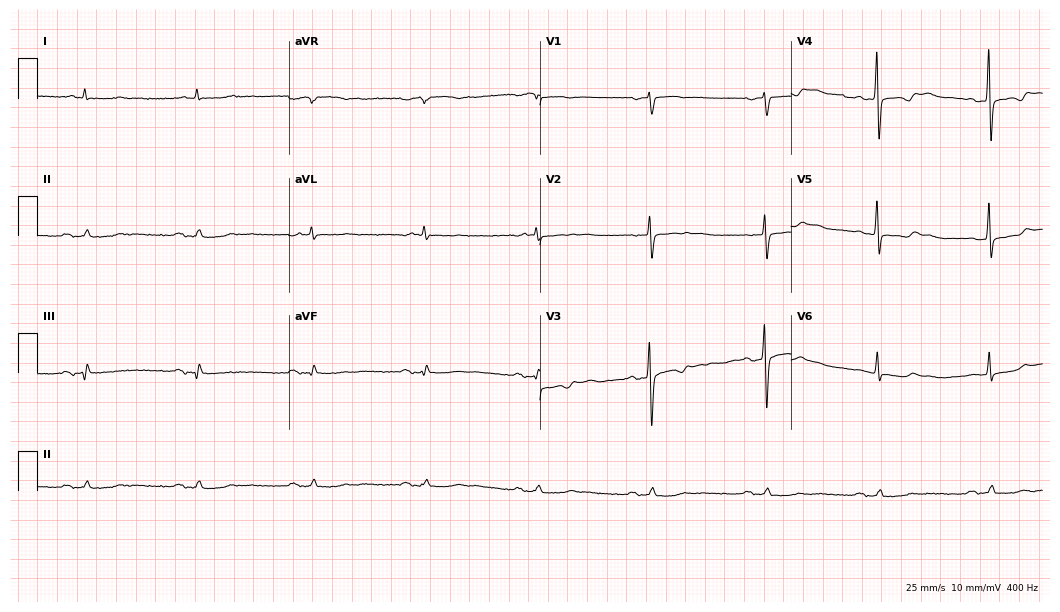
12-lead ECG from a 75-year-old male patient (10.2-second recording at 400 Hz). Recorded interpretation: within normal limits.